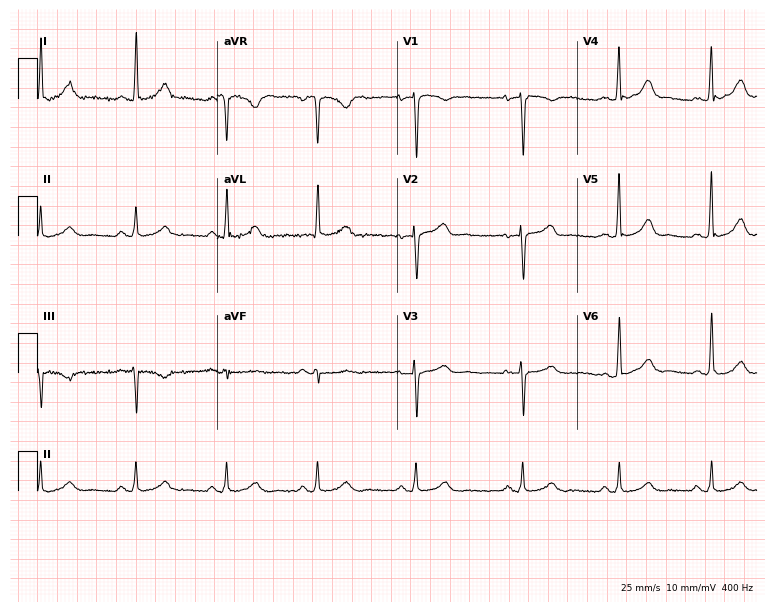
Resting 12-lead electrocardiogram (7.3-second recording at 400 Hz). Patient: a 39-year-old female. None of these six findings is recorded: first-degree AV block, right bundle branch block, left bundle branch block, sinus bradycardia, atrial fibrillation, sinus tachycardia.